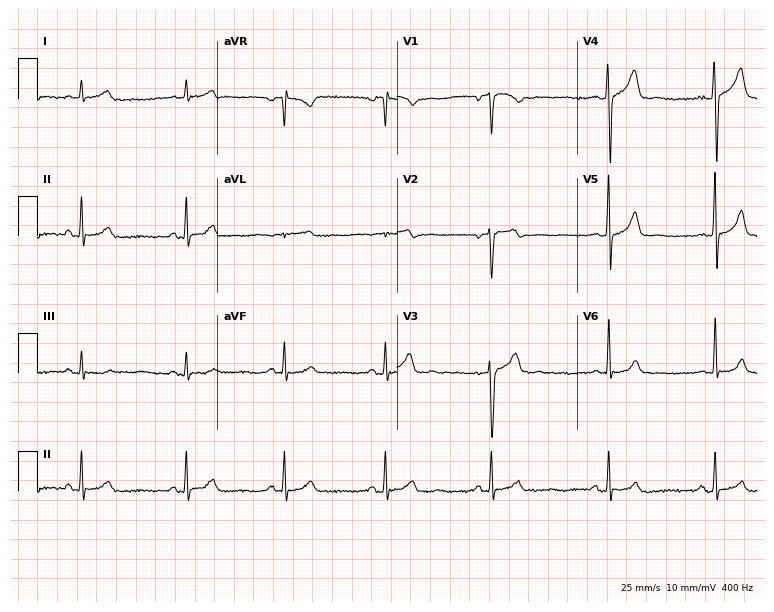
Electrocardiogram (7.3-second recording at 400 Hz), a 40-year-old male patient. Overall reading on record: normal ECG.